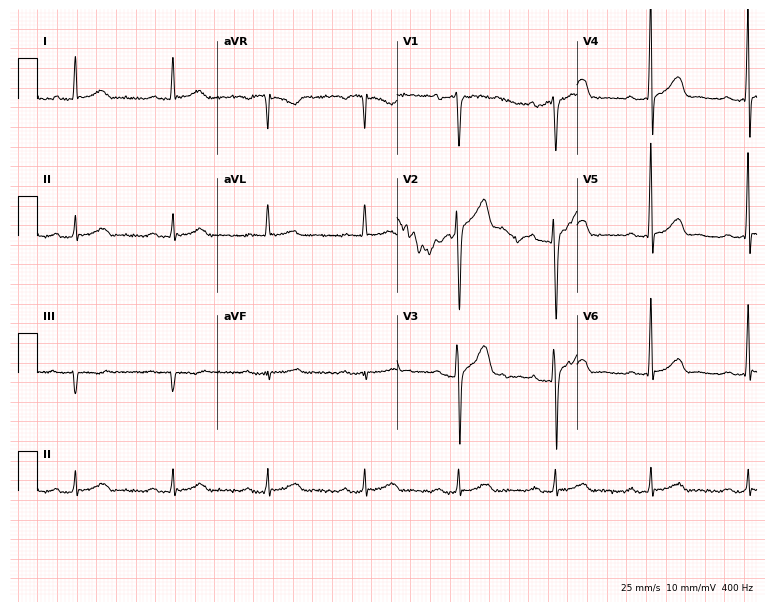
Electrocardiogram, a man, 48 years old. Interpretation includes first-degree AV block.